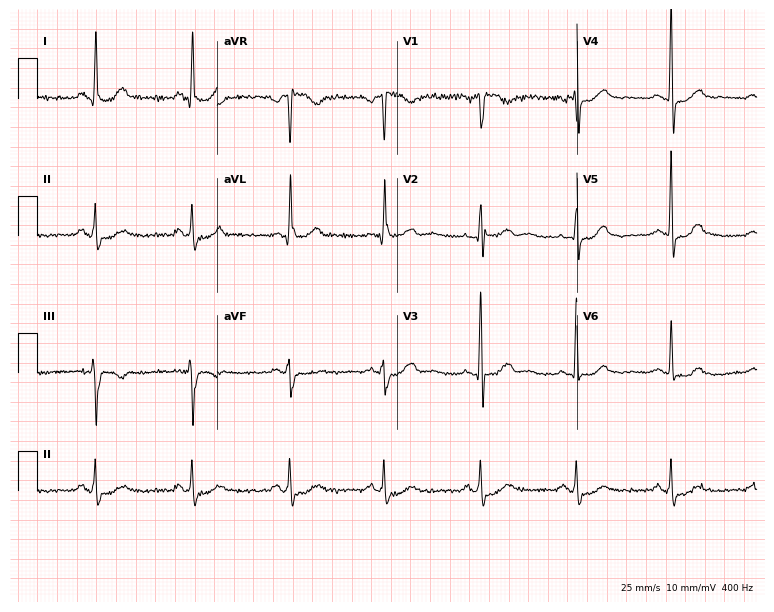
Electrocardiogram, a female, 53 years old. Of the six screened findings (first-degree AV block, right bundle branch block, left bundle branch block, sinus bradycardia, atrial fibrillation, sinus tachycardia), none is recorded. Findings outside these six are not listed.